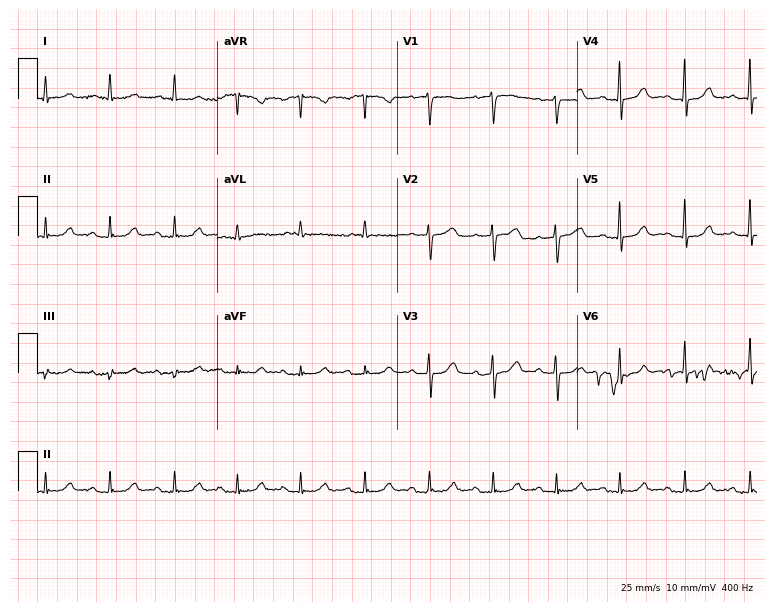
Resting 12-lead electrocardiogram (7.3-second recording at 400 Hz). Patient: a 73-year-old woman. Read as a normal ECG.